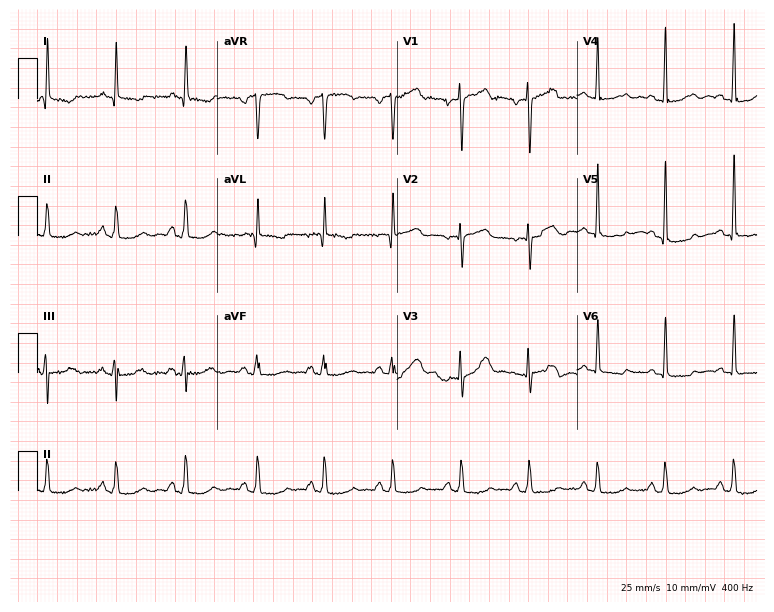
Standard 12-lead ECG recorded from a woman, 75 years old (7.3-second recording at 400 Hz). None of these six findings is recorded: first-degree AV block, right bundle branch block (RBBB), left bundle branch block (LBBB), sinus bradycardia, atrial fibrillation (AF), sinus tachycardia. Other findings, if any, are not listed.